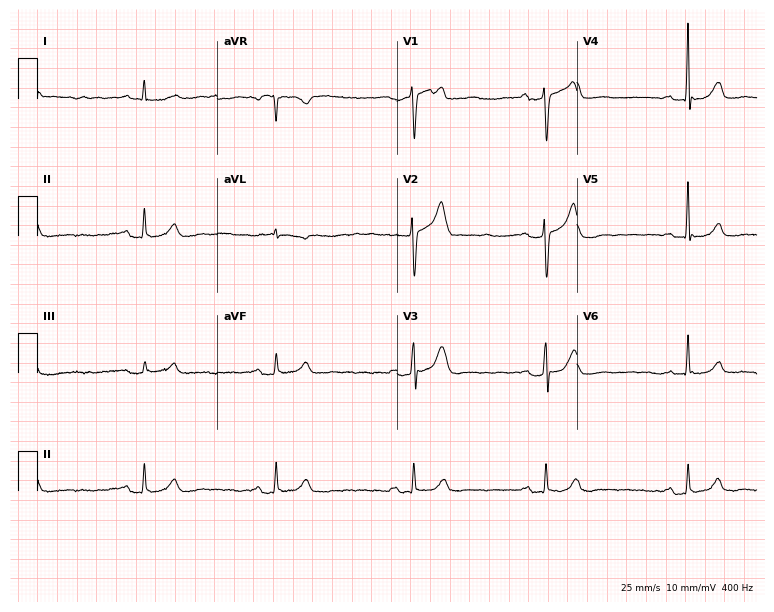
Standard 12-lead ECG recorded from a man, 62 years old. The tracing shows sinus bradycardia (a sinus rate of 50 beats per minute or less).